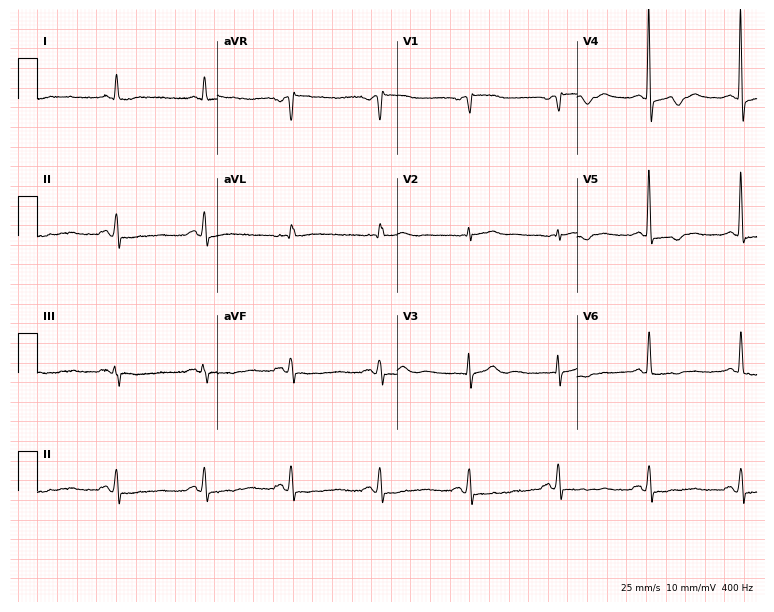
Standard 12-lead ECG recorded from a female patient, 63 years old. None of these six findings is recorded: first-degree AV block, right bundle branch block, left bundle branch block, sinus bradycardia, atrial fibrillation, sinus tachycardia.